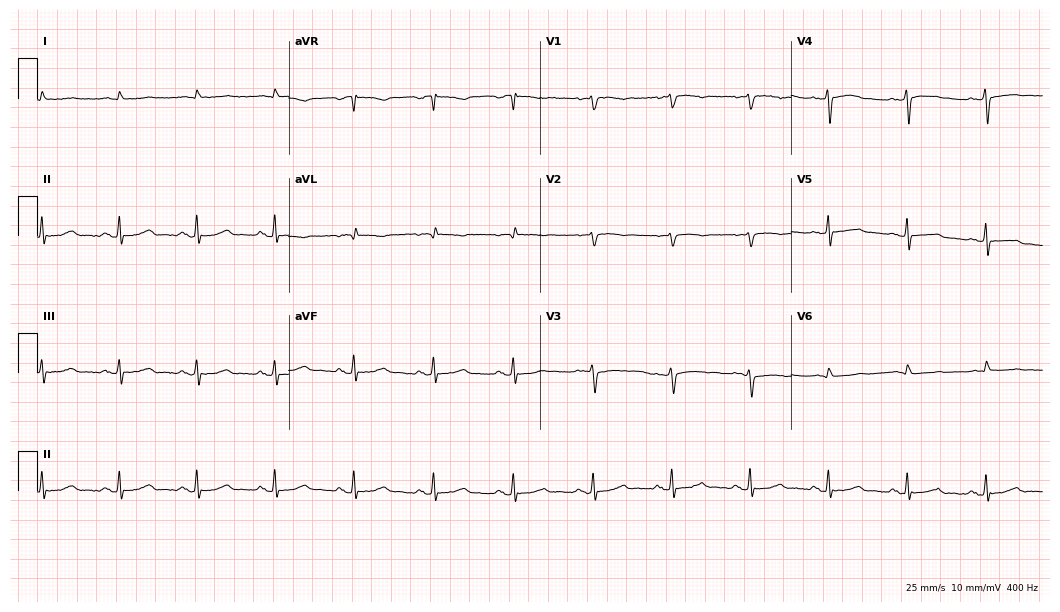
Standard 12-lead ECG recorded from a 64-year-old male. None of these six findings is recorded: first-degree AV block, right bundle branch block (RBBB), left bundle branch block (LBBB), sinus bradycardia, atrial fibrillation (AF), sinus tachycardia. Only these six findings were labelled.